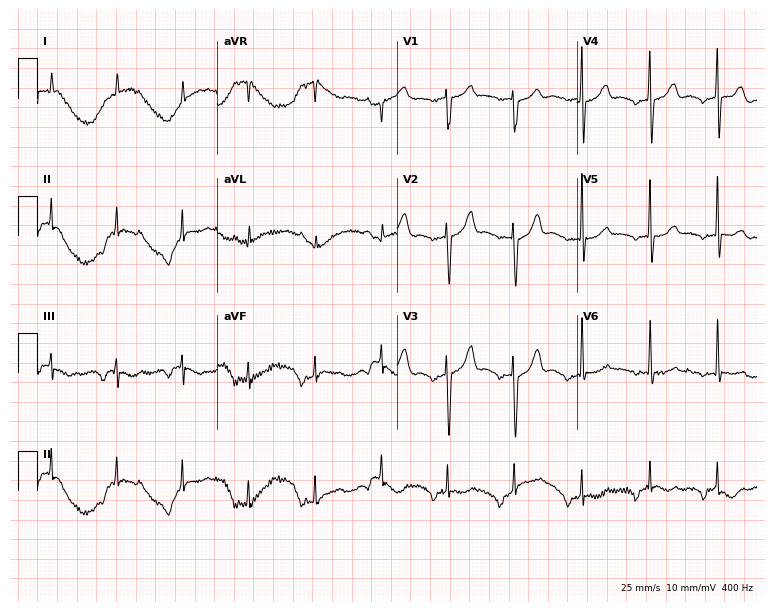
Resting 12-lead electrocardiogram (7.3-second recording at 400 Hz). Patient: a female, 83 years old. None of these six findings is recorded: first-degree AV block, right bundle branch block, left bundle branch block, sinus bradycardia, atrial fibrillation, sinus tachycardia. Other findings, if any, are not listed.